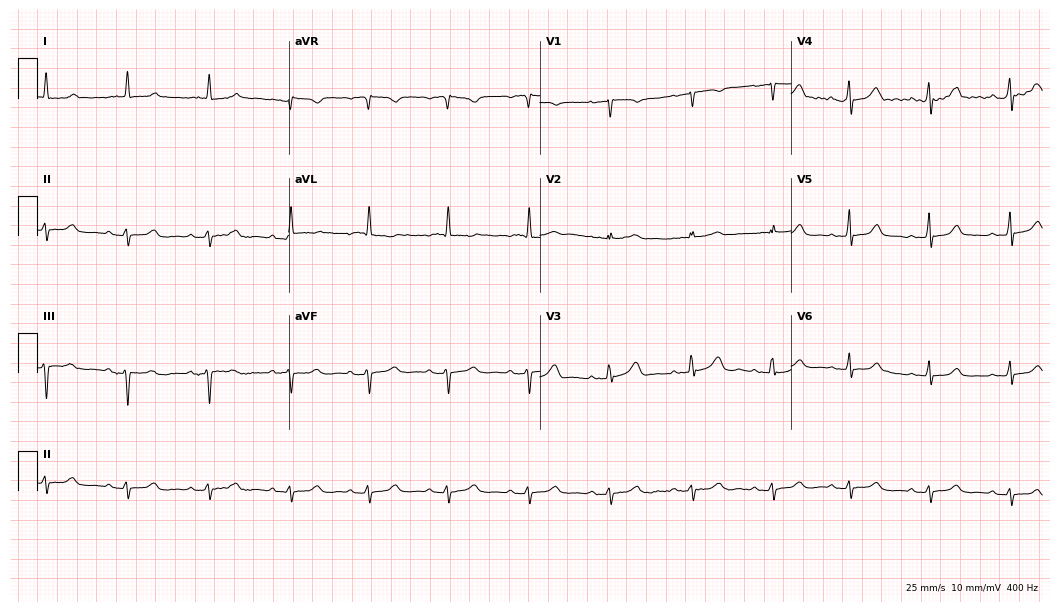
Electrocardiogram (10.2-second recording at 400 Hz), an 86-year-old female. Of the six screened findings (first-degree AV block, right bundle branch block, left bundle branch block, sinus bradycardia, atrial fibrillation, sinus tachycardia), none is recorded.